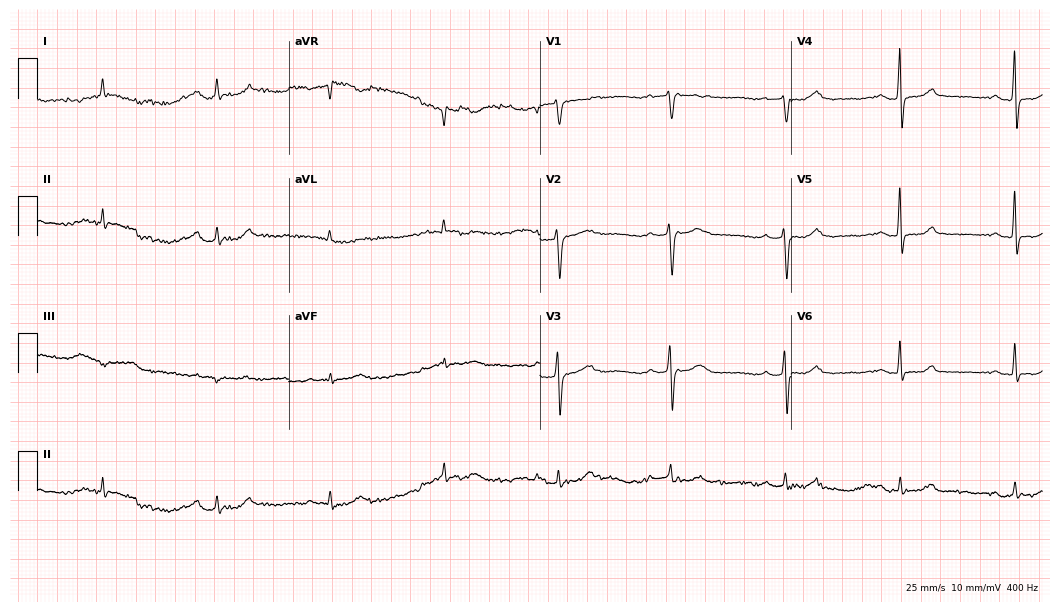
ECG (10.2-second recording at 400 Hz) — a female patient, 57 years old. Labelled as a normal ECG.